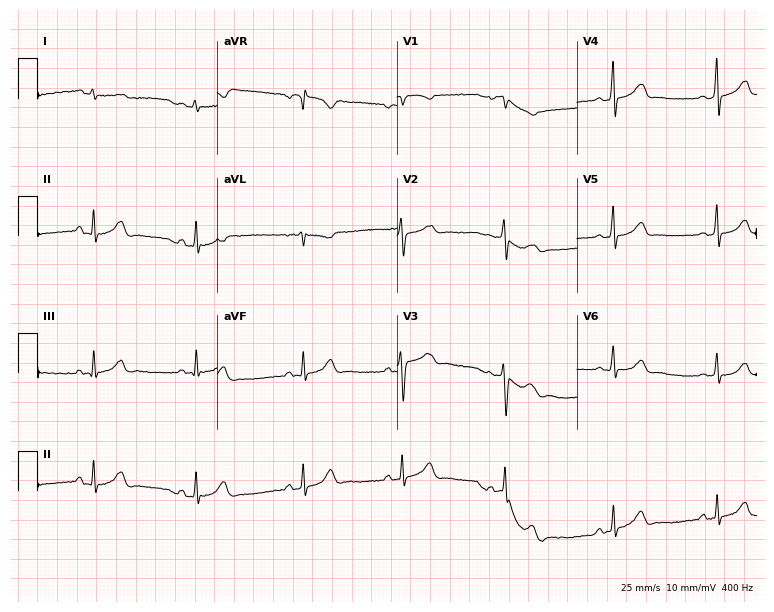
Standard 12-lead ECG recorded from a female, 18 years old. None of these six findings is recorded: first-degree AV block, right bundle branch block (RBBB), left bundle branch block (LBBB), sinus bradycardia, atrial fibrillation (AF), sinus tachycardia.